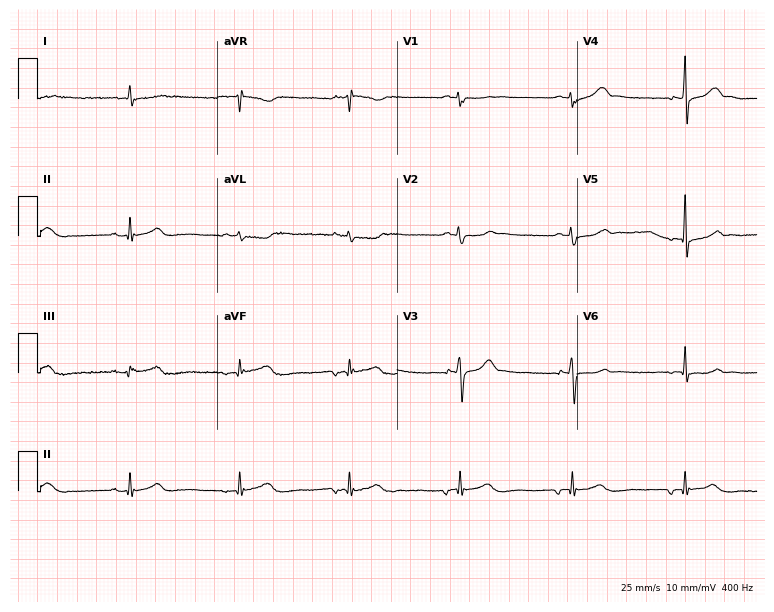
Electrocardiogram, a male patient, 56 years old. Overall reading on record: normal ECG.